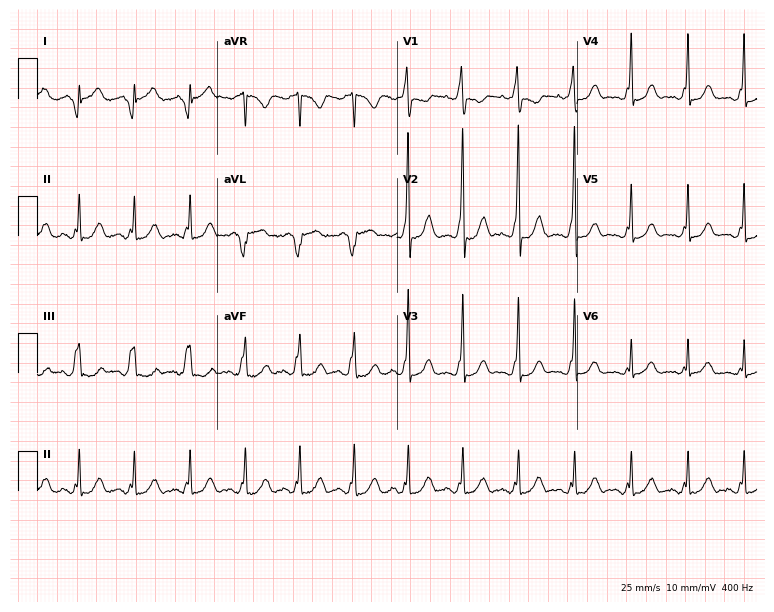
12-lead ECG from a female, 21 years old. Screened for six findings — first-degree AV block, right bundle branch block, left bundle branch block, sinus bradycardia, atrial fibrillation, sinus tachycardia — none is recorded.